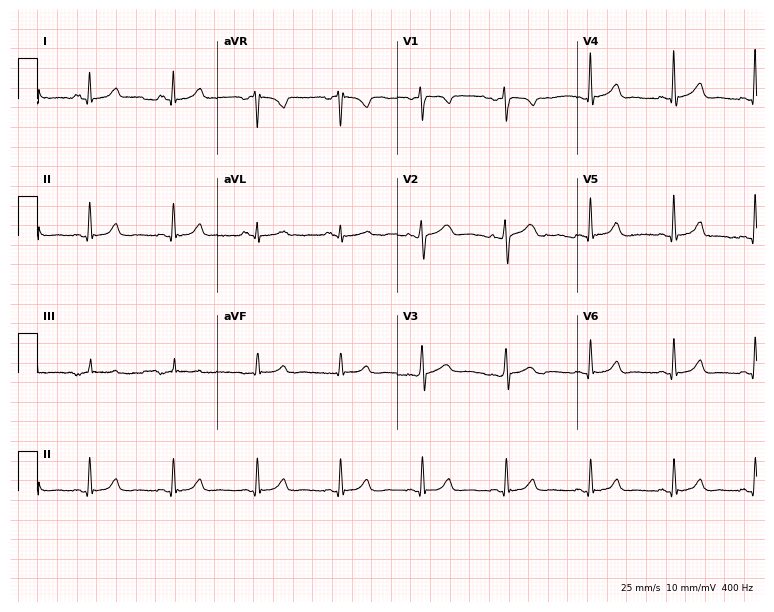
Resting 12-lead electrocardiogram (7.3-second recording at 400 Hz). Patient: a 46-year-old woman. Read as a normal ECG.